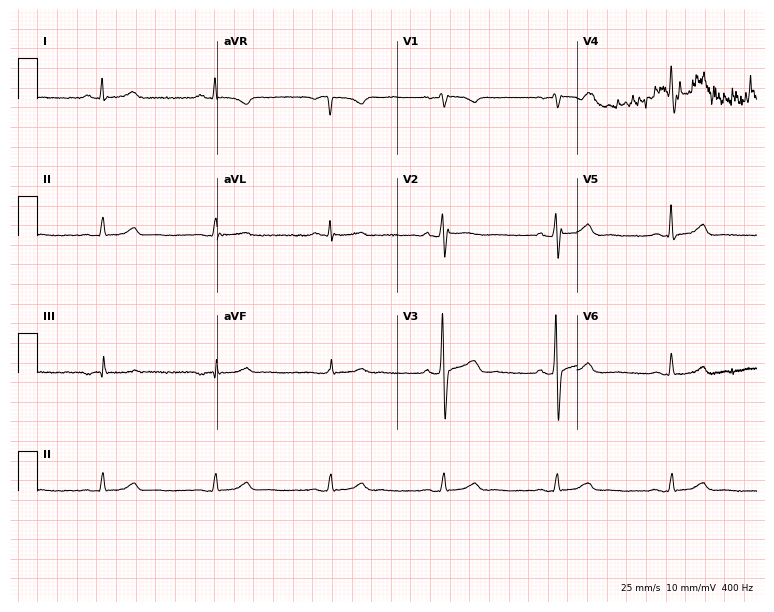
12-lead ECG from a 52-year-old female. Labelled as a normal ECG.